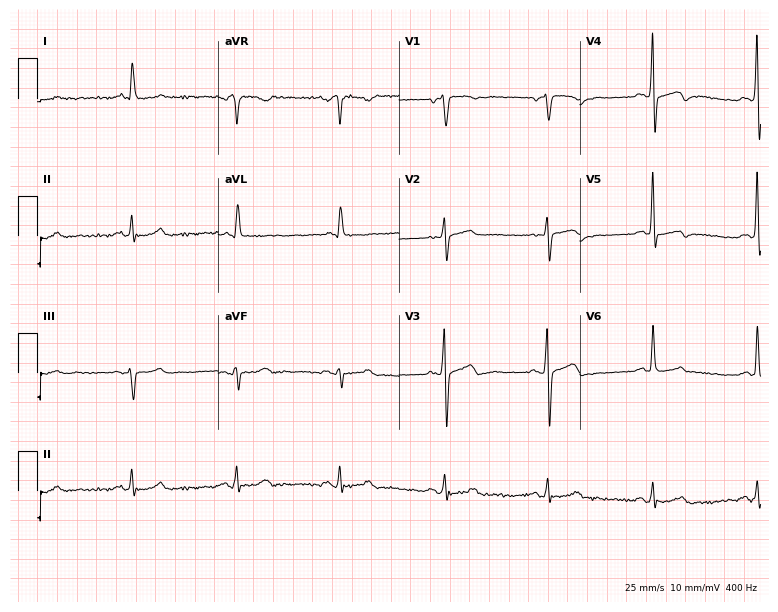
Resting 12-lead electrocardiogram (7.4-second recording at 400 Hz). Patient: a man, 85 years old. None of these six findings is recorded: first-degree AV block, right bundle branch block, left bundle branch block, sinus bradycardia, atrial fibrillation, sinus tachycardia. Other findings, if any, are not listed.